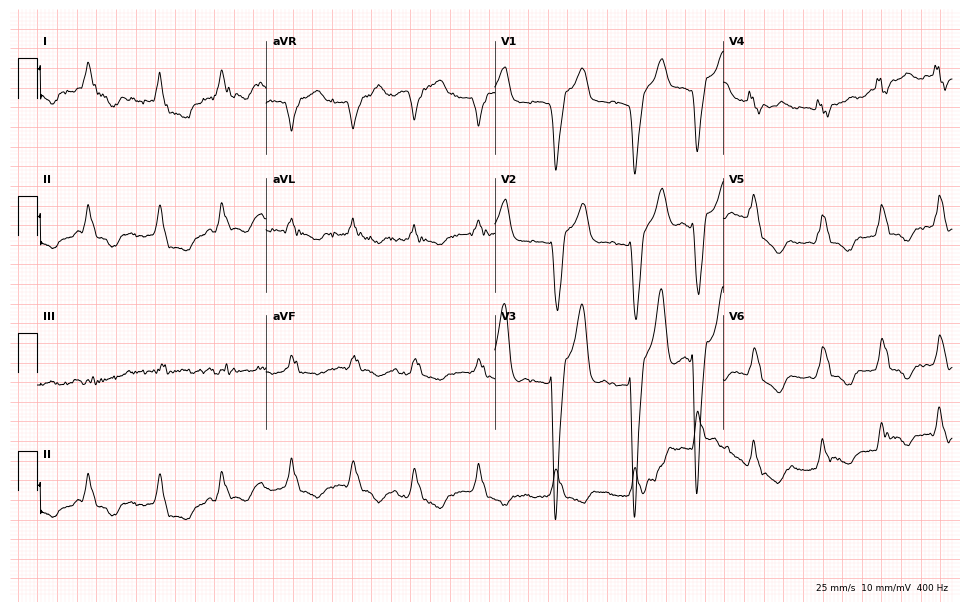
Resting 12-lead electrocardiogram (9.3-second recording at 400 Hz). Patient: an 81-year-old man. The tracing shows left bundle branch block (LBBB), atrial fibrillation (AF).